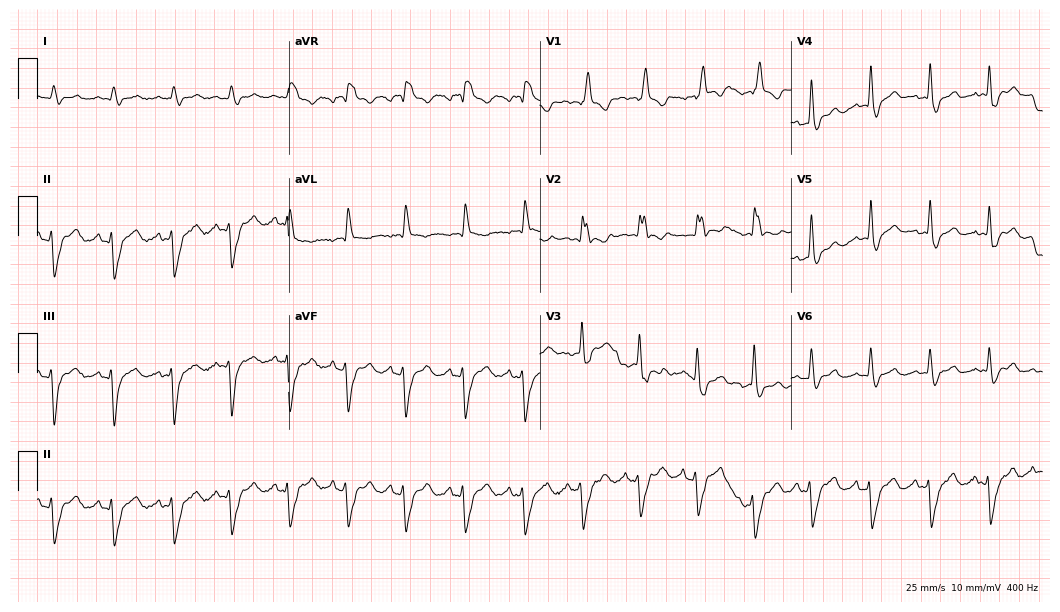
ECG — a male, 83 years old. Findings include right bundle branch block, sinus tachycardia (a sinus rate of 100 beats per minute or more).